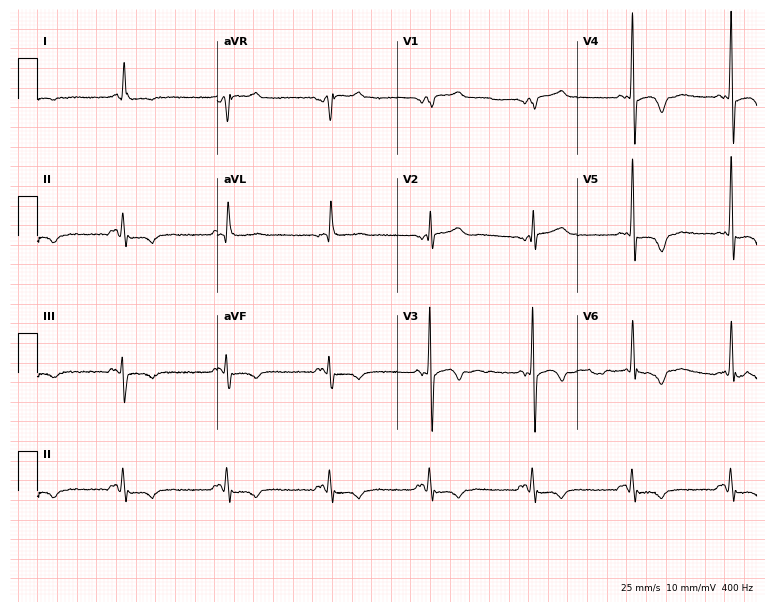
Standard 12-lead ECG recorded from a man, 71 years old. None of these six findings is recorded: first-degree AV block, right bundle branch block (RBBB), left bundle branch block (LBBB), sinus bradycardia, atrial fibrillation (AF), sinus tachycardia.